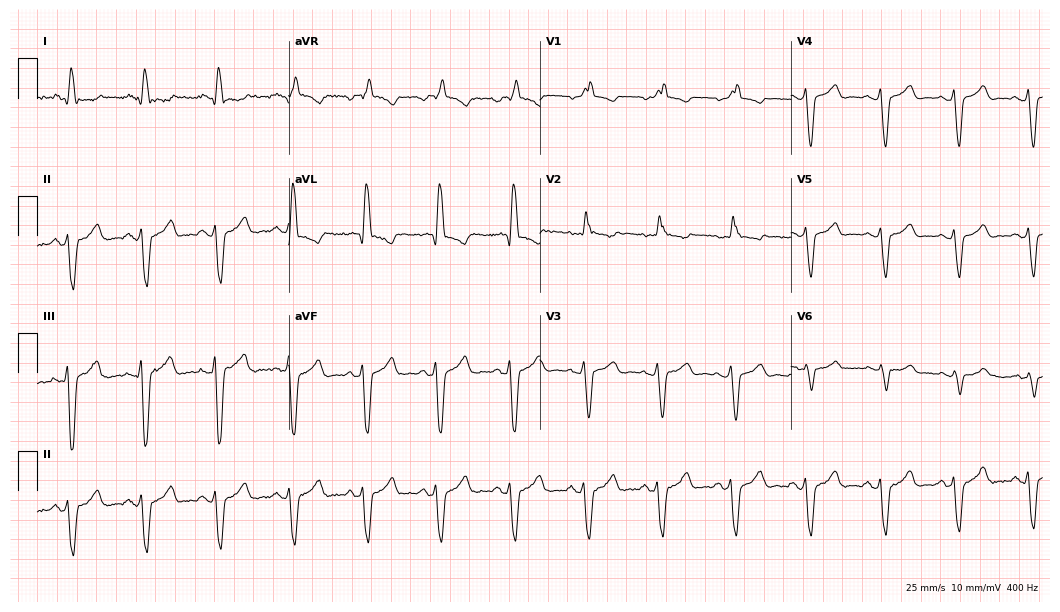
ECG (10.2-second recording at 400 Hz) — a 58-year-old female. Findings include right bundle branch block (RBBB).